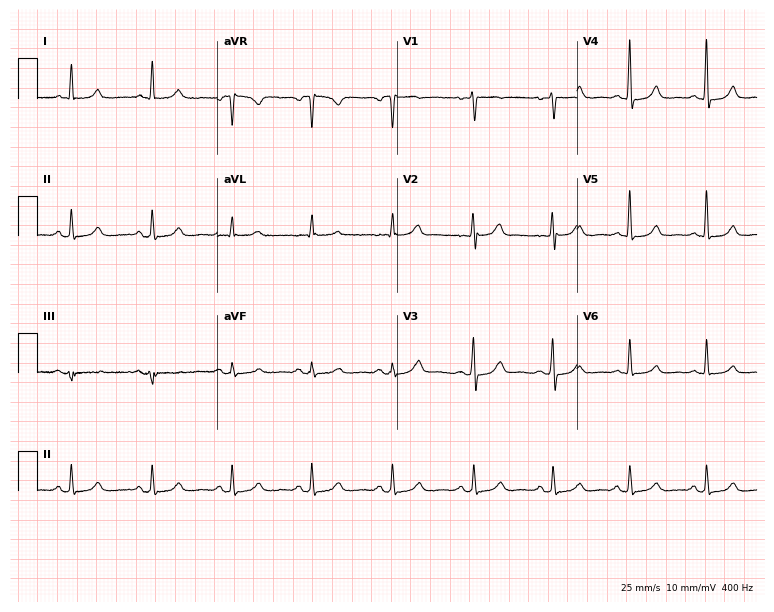
Electrocardiogram (7.3-second recording at 400 Hz), a 49-year-old female patient. Overall reading on record: normal ECG.